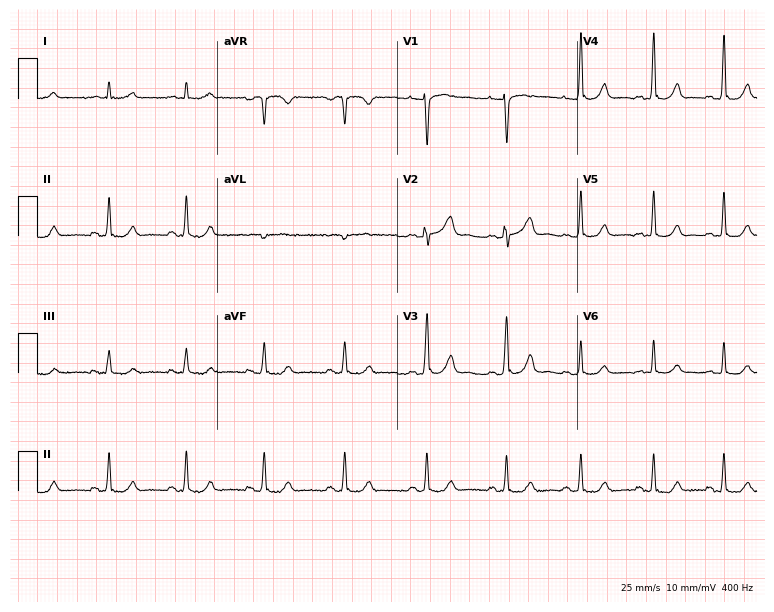
Resting 12-lead electrocardiogram. Patient: a 38-year-old female. Read as a normal ECG.